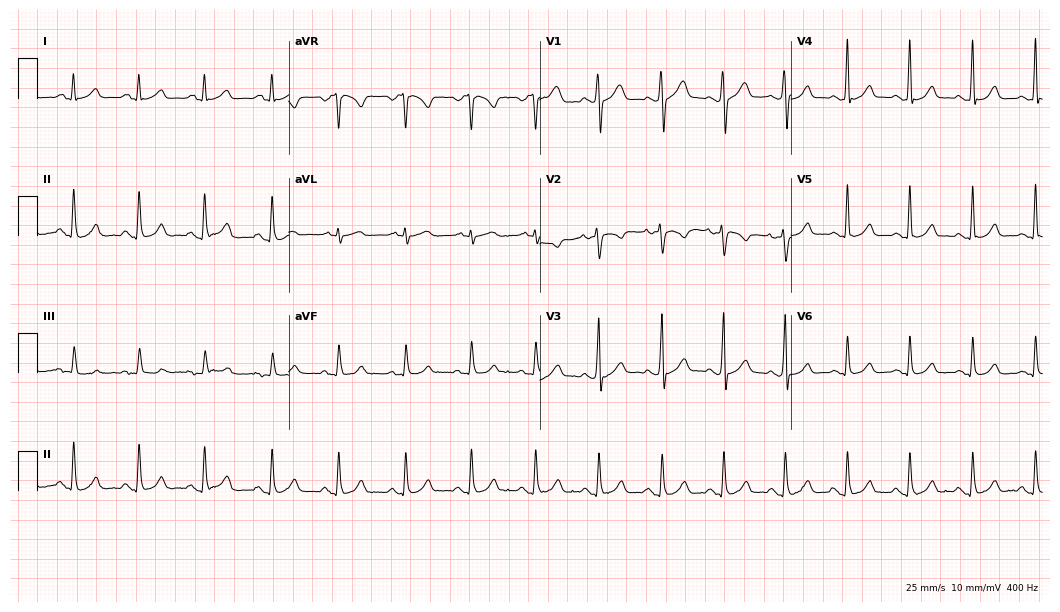
Standard 12-lead ECG recorded from a 26-year-old man (10.2-second recording at 400 Hz). Read as a normal ECG.